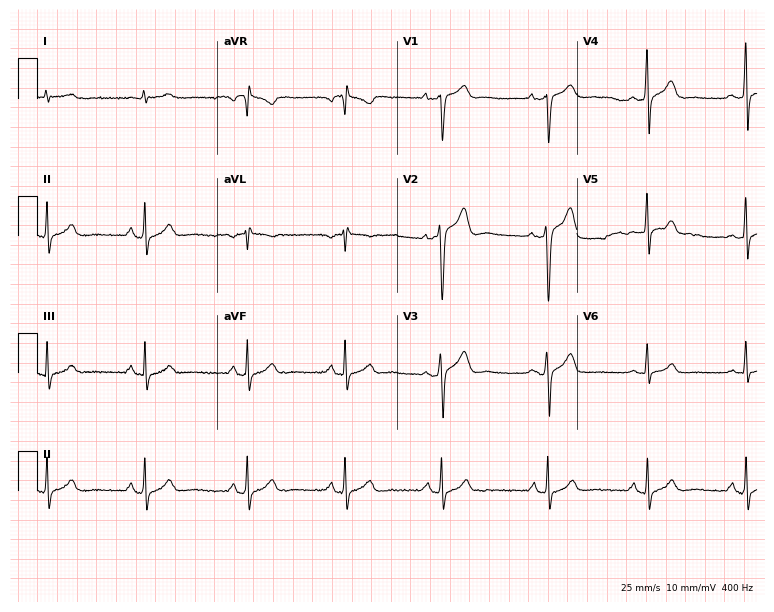
Standard 12-lead ECG recorded from a male patient, 28 years old (7.3-second recording at 400 Hz). None of these six findings is recorded: first-degree AV block, right bundle branch block (RBBB), left bundle branch block (LBBB), sinus bradycardia, atrial fibrillation (AF), sinus tachycardia. Other findings, if any, are not listed.